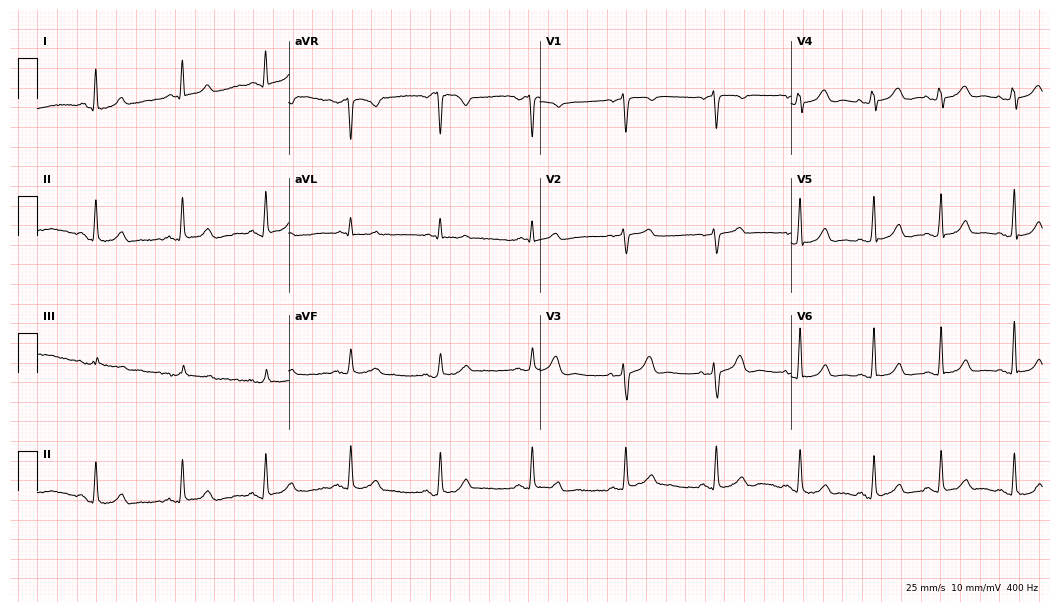
Electrocardiogram (10.2-second recording at 400 Hz), a 47-year-old female patient. Overall reading on record: normal ECG.